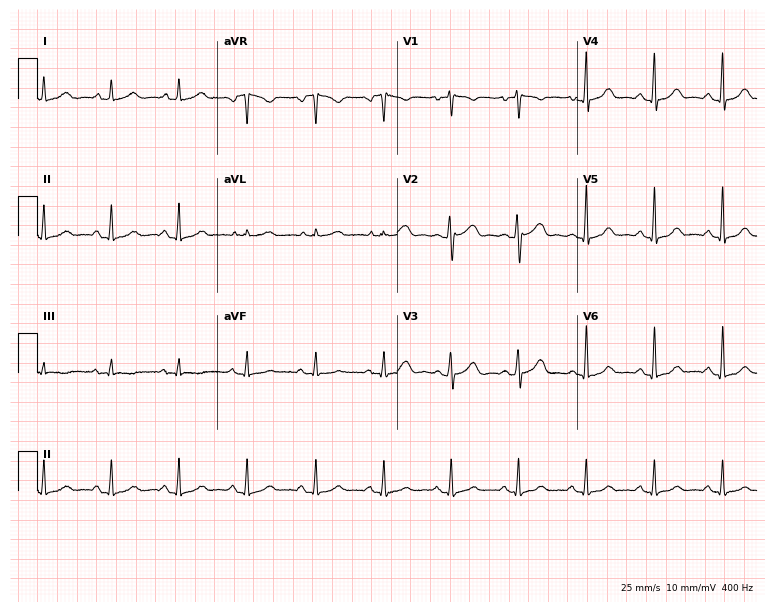
ECG — a female patient, 50 years old. Screened for six findings — first-degree AV block, right bundle branch block, left bundle branch block, sinus bradycardia, atrial fibrillation, sinus tachycardia — none is recorded.